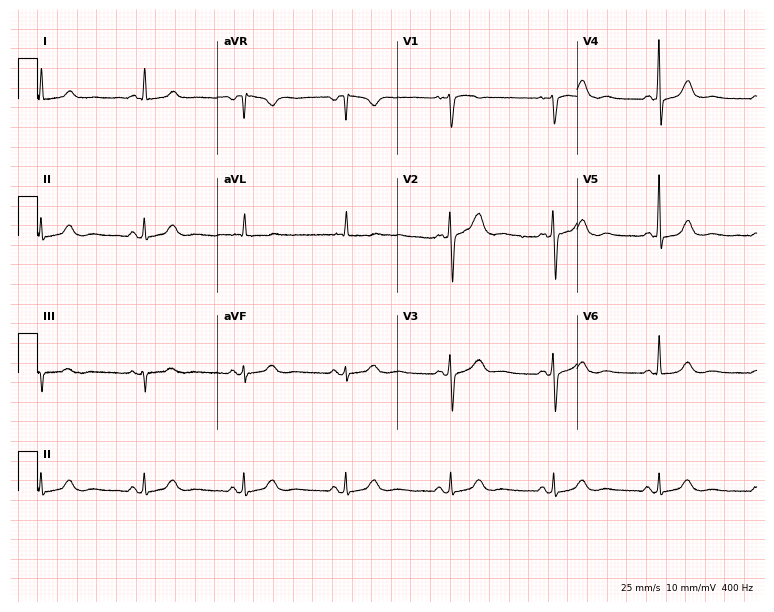
Resting 12-lead electrocardiogram (7.3-second recording at 400 Hz). Patient: a female, 54 years old. Read as a normal ECG.